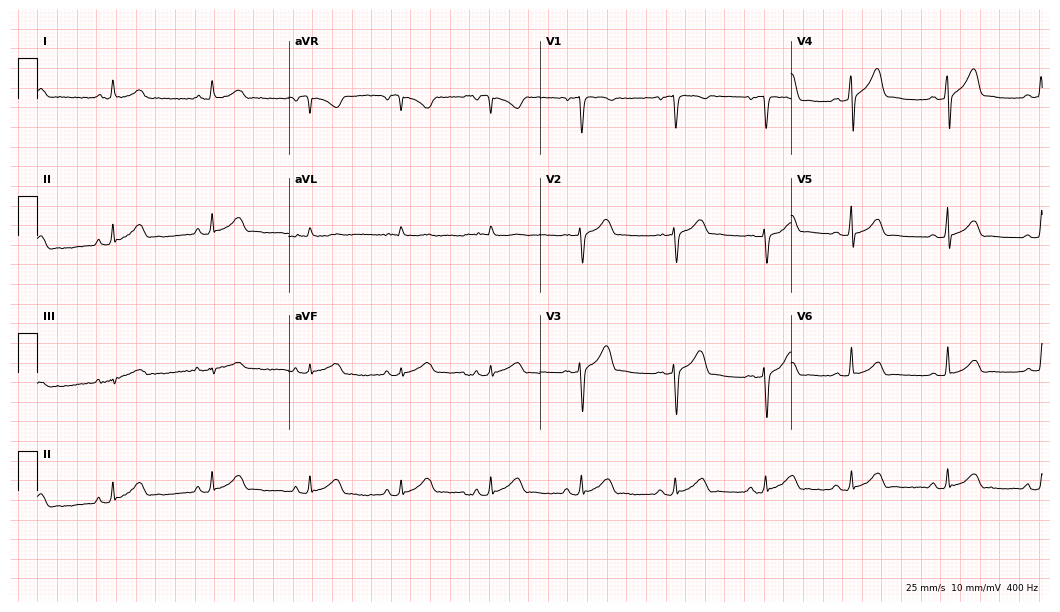
Standard 12-lead ECG recorded from a 26-year-old male patient (10.2-second recording at 400 Hz). Read as a normal ECG.